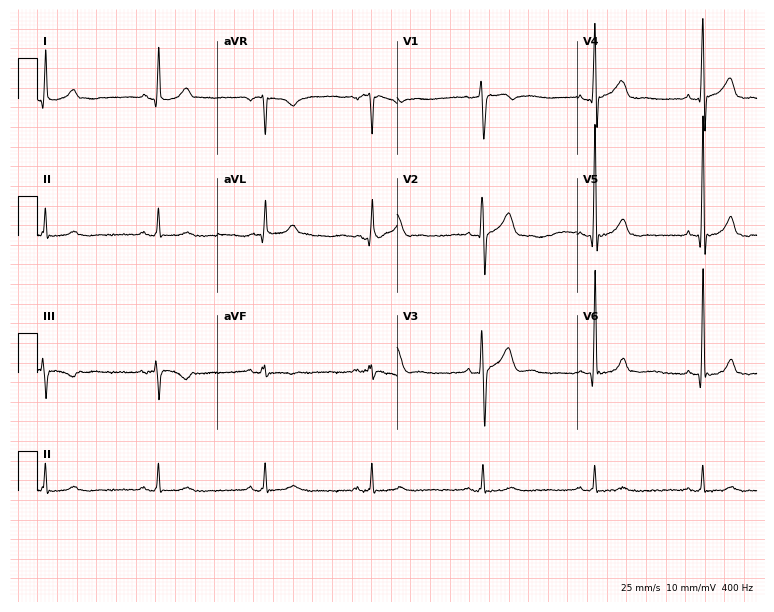
Electrocardiogram (7.3-second recording at 400 Hz), a male patient, 41 years old. Overall reading on record: normal ECG.